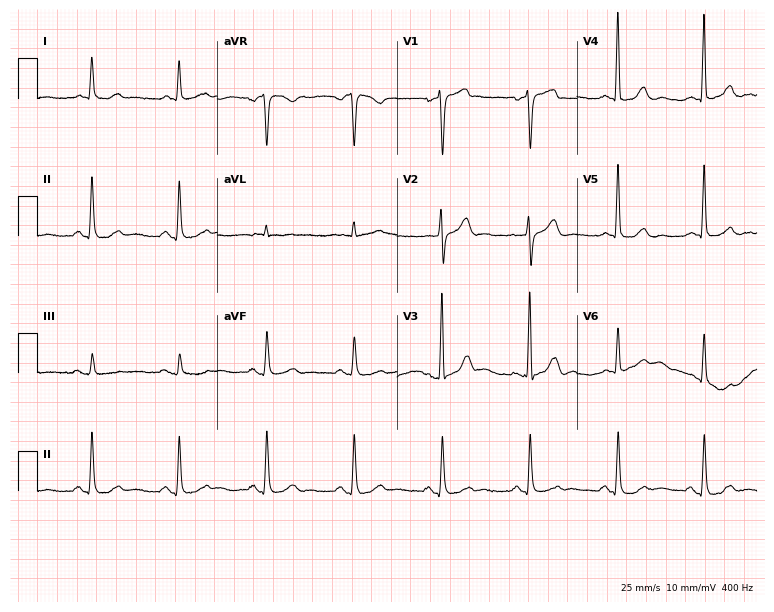
Standard 12-lead ECG recorded from a male, 67 years old (7.3-second recording at 400 Hz). Read as a normal ECG.